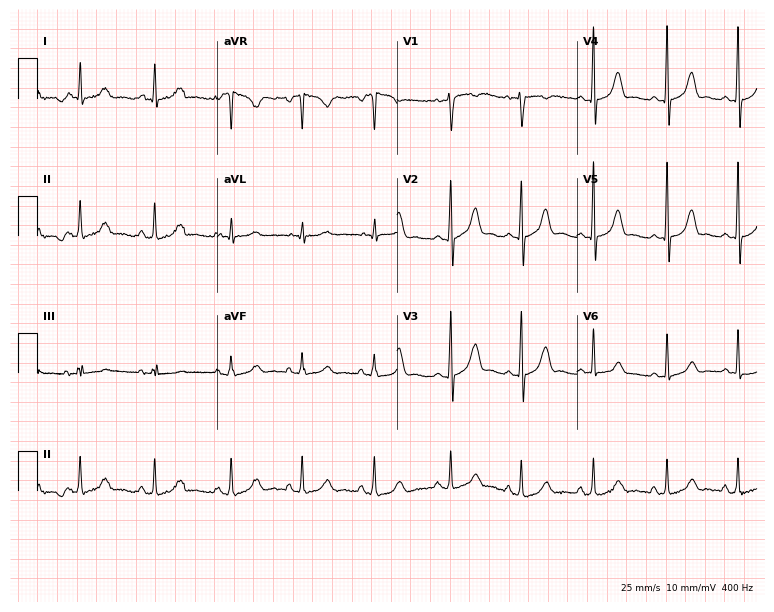
Standard 12-lead ECG recorded from a 27-year-old female patient. Read as a normal ECG.